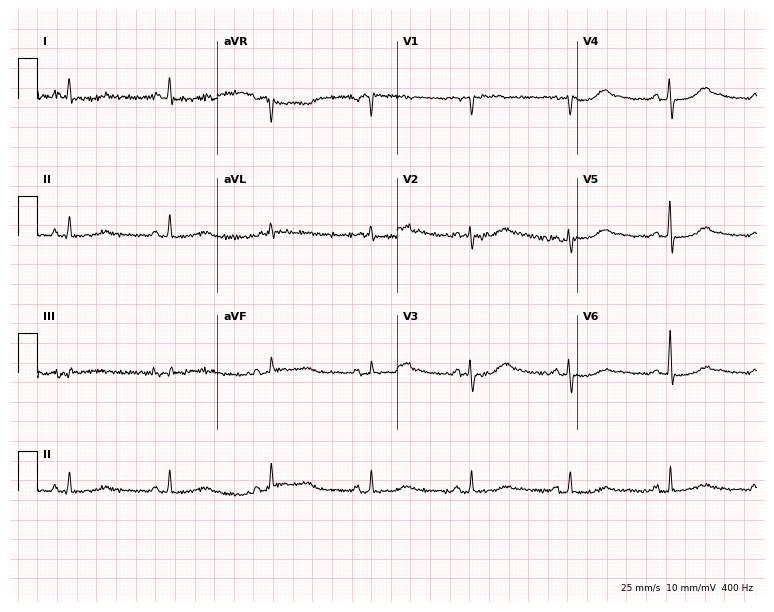
12-lead ECG from a woman, 64 years old. Recorded interpretation: within normal limits.